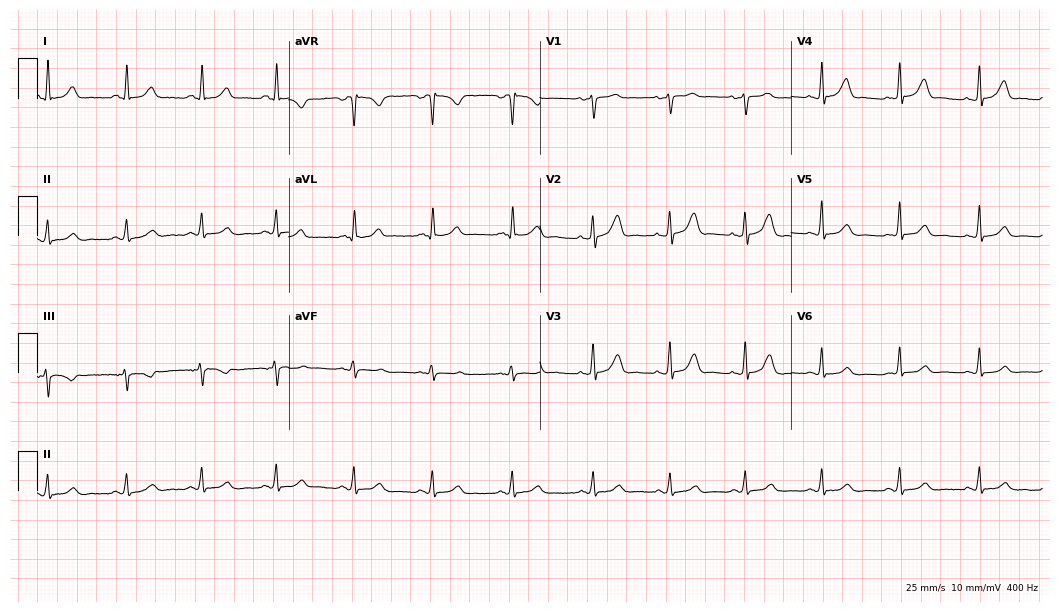
Resting 12-lead electrocardiogram. Patient: a female, 51 years old. Read as a normal ECG.